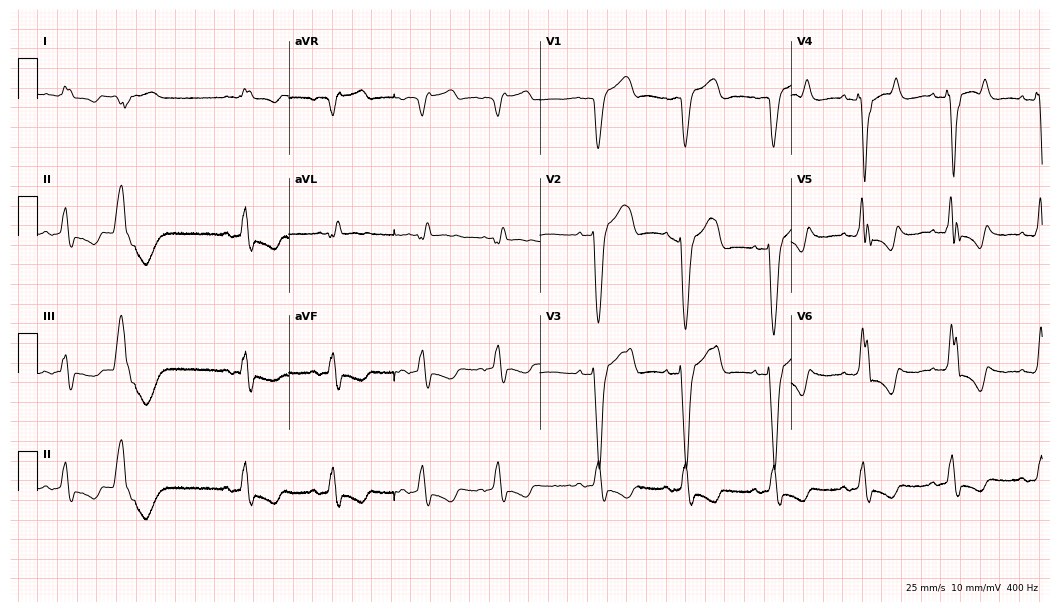
12-lead ECG from a male patient, 78 years old. Screened for six findings — first-degree AV block, right bundle branch block, left bundle branch block, sinus bradycardia, atrial fibrillation, sinus tachycardia — none is recorded. Other findings, if any, are not listed.